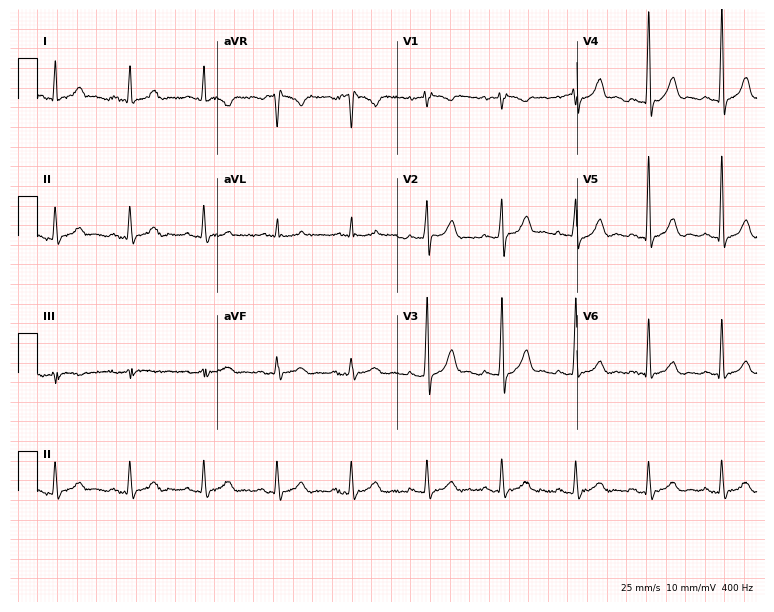
12-lead ECG (7.3-second recording at 400 Hz) from a 68-year-old male patient. Labelled as a normal ECG.